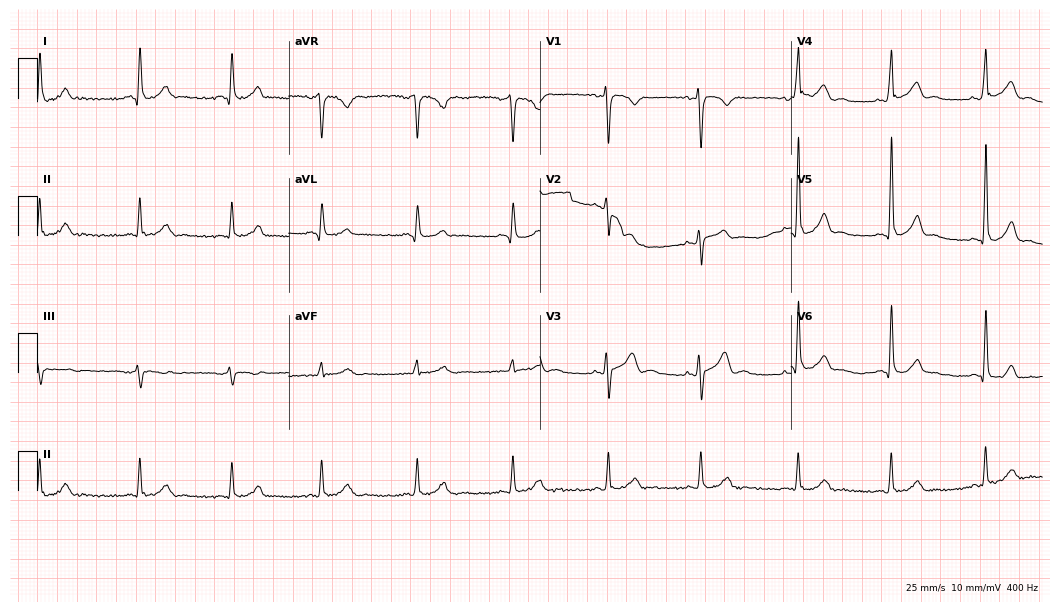
ECG — a male patient, 40 years old. Screened for six findings — first-degree AV block, right bundle branch block (RBBB), left bundle branch block (LBBB), sinus bradycardia, atrial fibrillation (AF), sinus tachycardia — none is recorded.